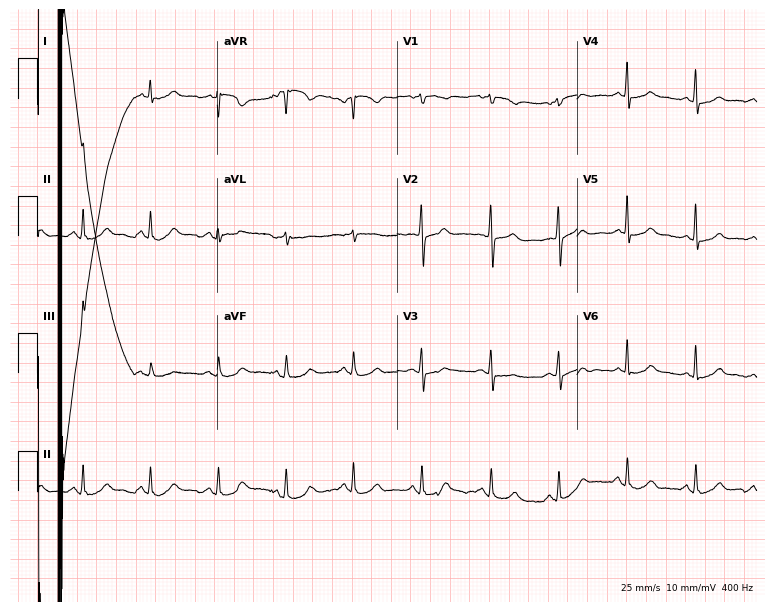
12-lead ECG from a female, 54 years old. No first-degree AV block, right bundle branch block (RBBB), left bundle branch block (LBBB), sinus bradycardia, atrial fibrillation (AF) or sinus tachycardia recorded for this tracing. Only these six findings were labelled.